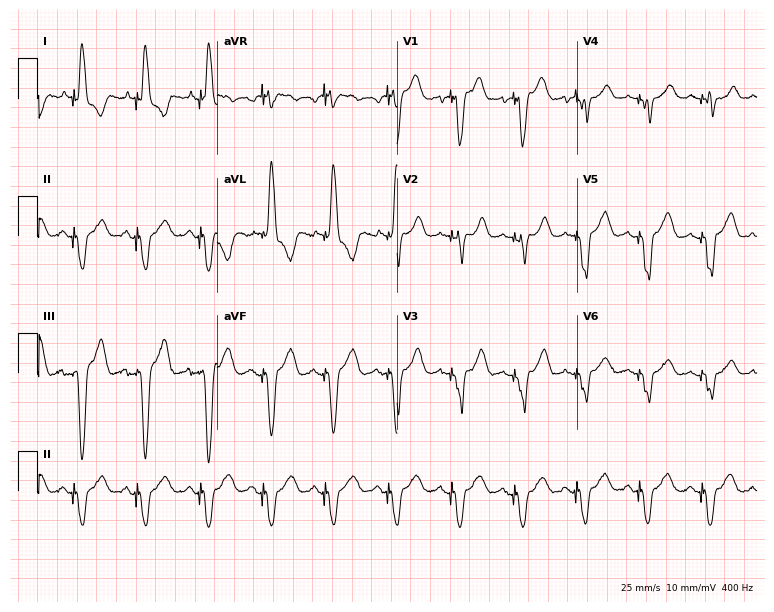
12-lead ECG from an 82-year-old woman. No first-degree AV block, right bundle branch block, left bundle branch block, sinus bradycardia, atrial fibrillation or sinus tachycardia recorded for this tracing.